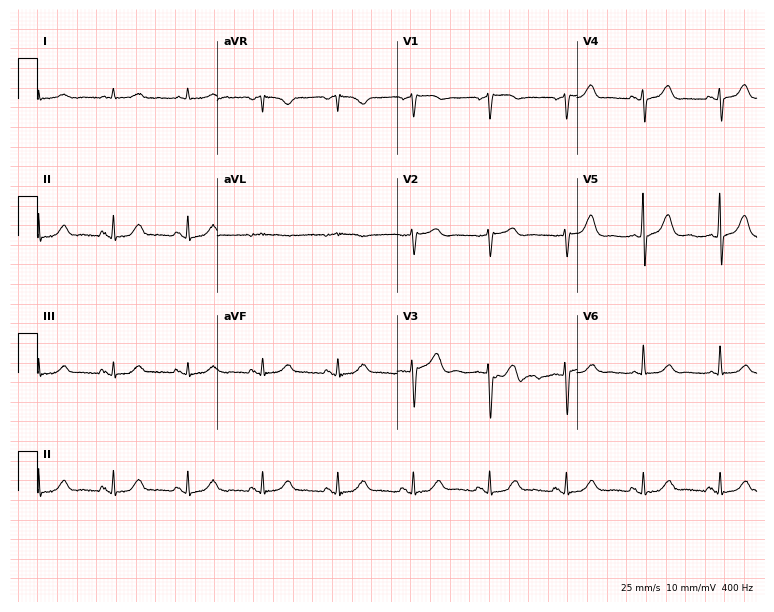
Standard 12-lead ECG recorded from a 70-year-old man (7.3-second recording at 400 Hz). None of these six findings is recorded: first-degree AV block, right bundle branch block, left bundle branch block, sinus bradycardia, atrial fibrillation, sinus tachycardia. Other findings, if any, are not listed.